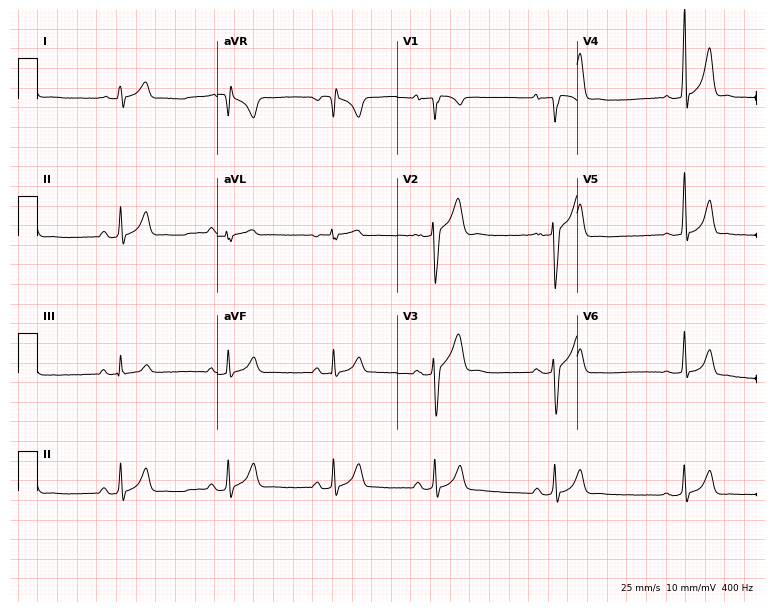
Electrocardiogram (7.3-second recording at 400 Hz), a 23-year-old female. Of the six screened findings (first-degree AV block, right bundle branch block, left bundle branch block, sinus bradycardia, atrial fibrillation, sinus tachycardia), none is recorded. Findings outside these six are not listed.